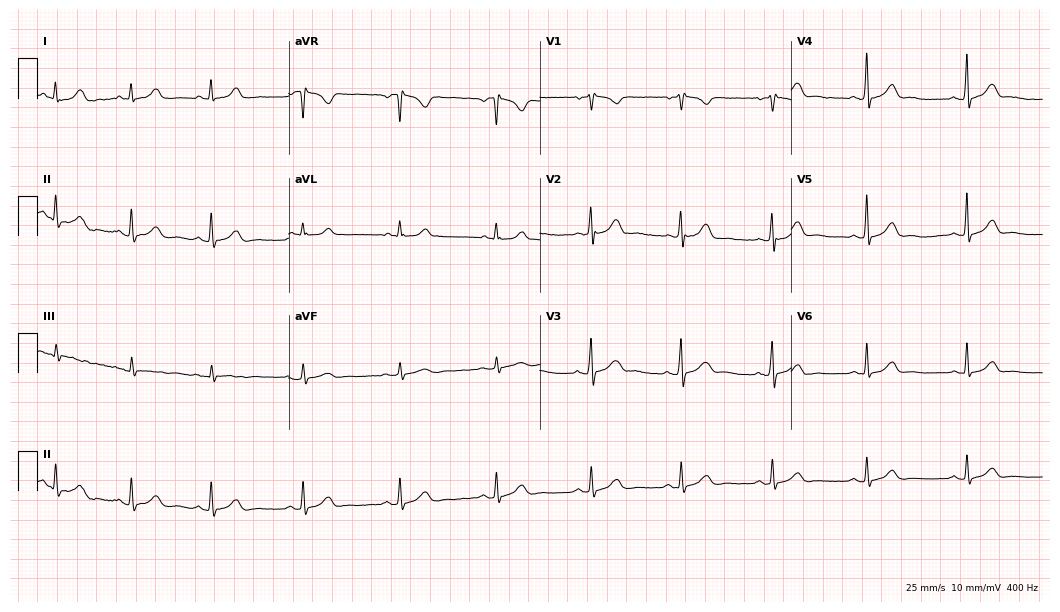
12-lead ECG from a 36-year-old woman (10.2-second recording at 400 Hz). No first-degree AV block, right bundle branch block (RBBB), left bundle branch block (LBBB), sinus bradycardia, atrial fibrillation (AF) or sinus tachycardia recorded for this tracing.